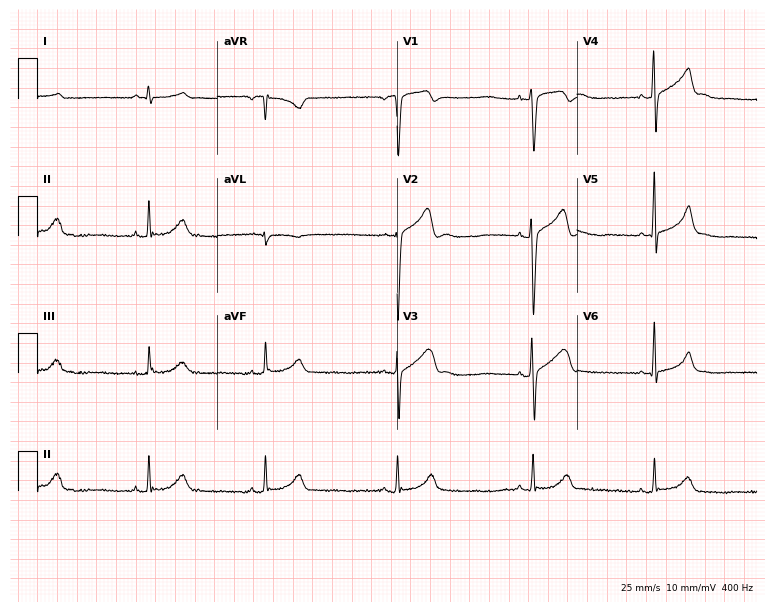
Resting 12-lead electrocardiogram (7.3-second recording at 400 Hz). Patient: an 18-year-old male. The tracing shows sinus bradycardia (a sinus rate of 50 beats per minute or less).